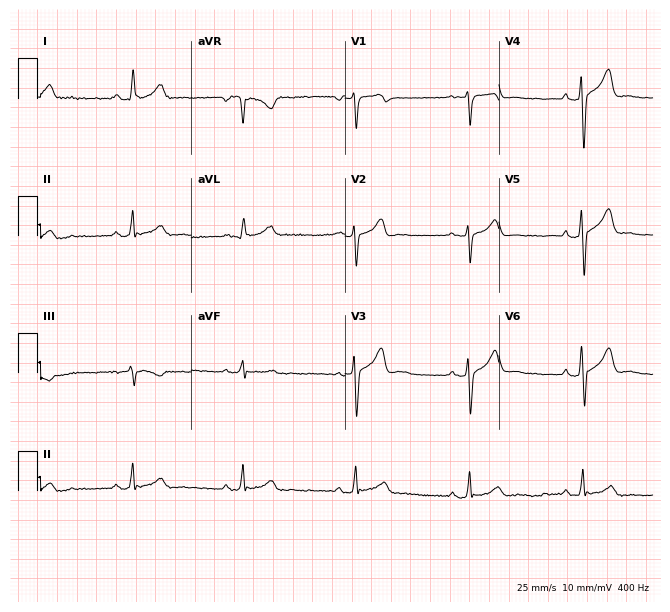
ECG — a 51-year-old male patient. Screened for six findings — first-degree AV block, right bundle branch block, left bundle branch block, sinus bradycardia, atrial fibrillation, sinus tachycardia — none is recorded.